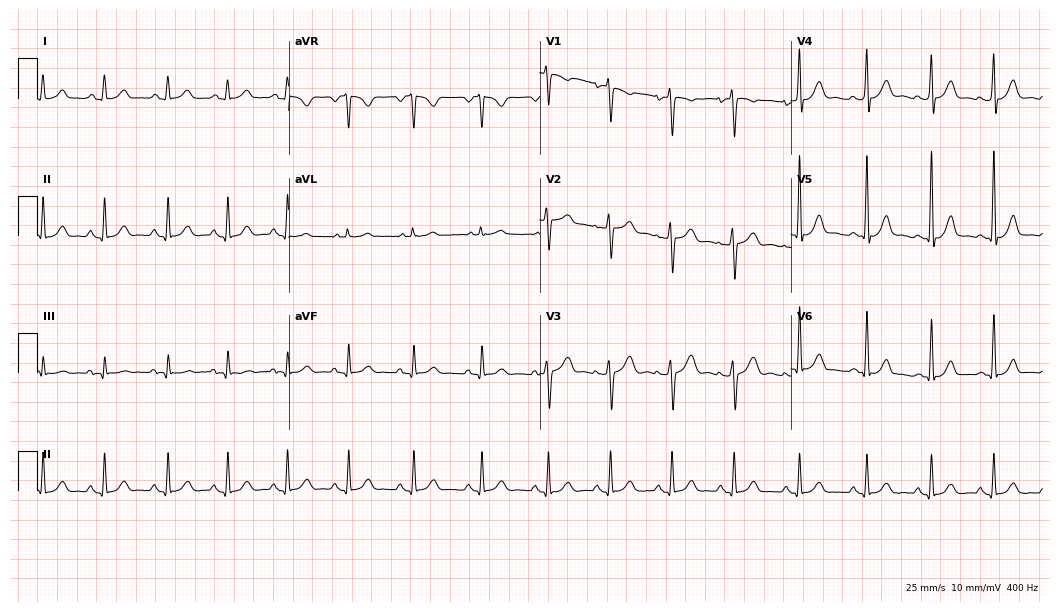
Standard 12-lead ECG recorded from a 40-year-old female patient (10.2-second recording at 400 Hz). Read as a normal ECG.